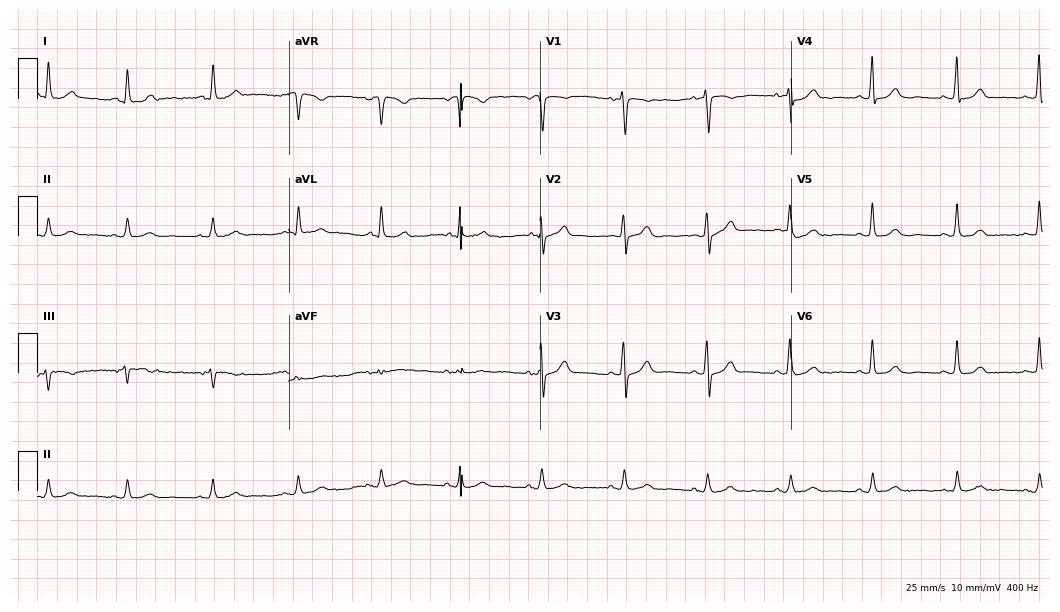
Electrocardiogram, a 60-year-old female patient. Overall reading on record: normal ECG.